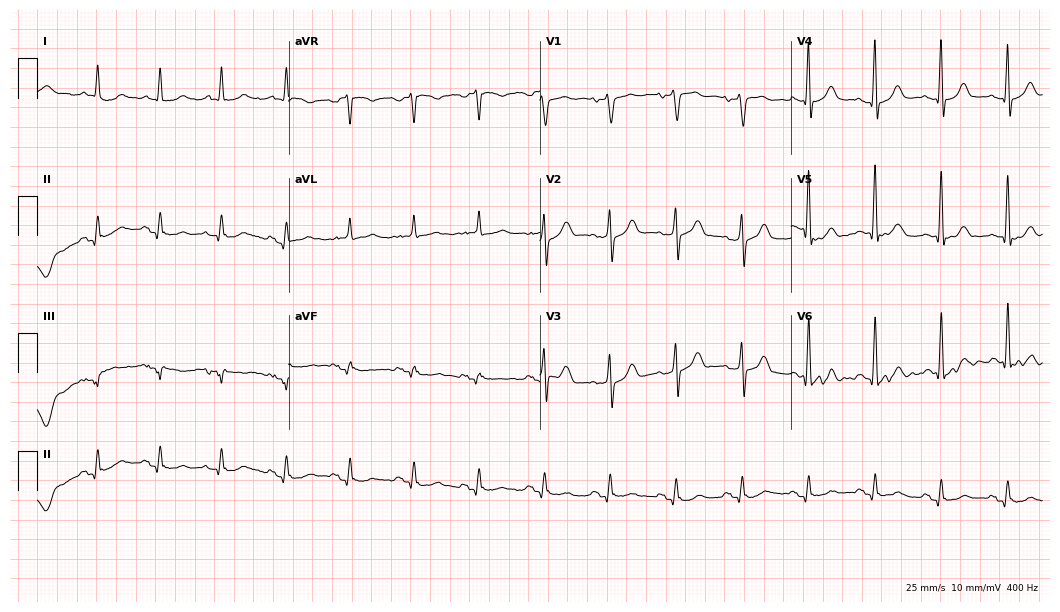
Resting 12-lead electrocardiogram. Patient: an 83-year-old man. None of these six findings is recorded: first-degree AV block, right bundle branch block, left bundle branch block, sinus bradycardia, atrial fibrillation, sinus tachycardia. Other findings, if any, are not listed.